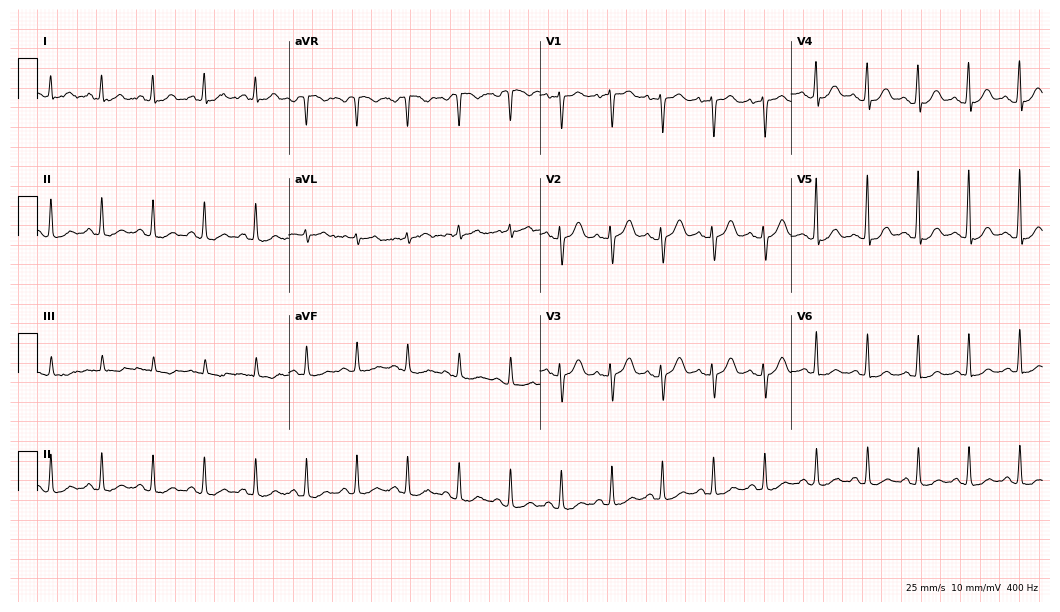
Electrocardiogram (10.2-second recording at 400 Hz), a female, 51 years old. Interpretation includes sinus tachycardia (a sinus rate of 100 beats per minute or more).